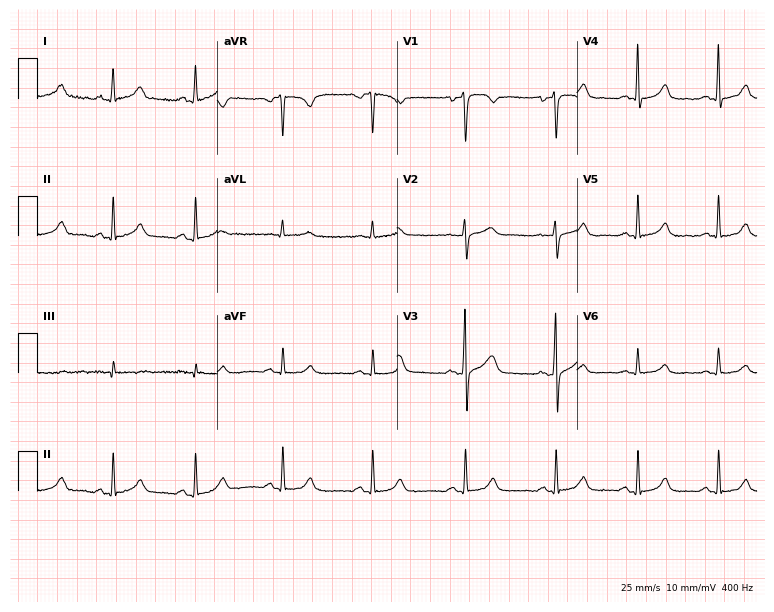
12-lead ECG from a 29-year-old female patient. No first-degree AV block, right bundle branch block, left bundle branch block, sinus bradycardia, atrial fibrillation or sinus tachycardia recorded for this tracing. Findings outside these six are not listed.